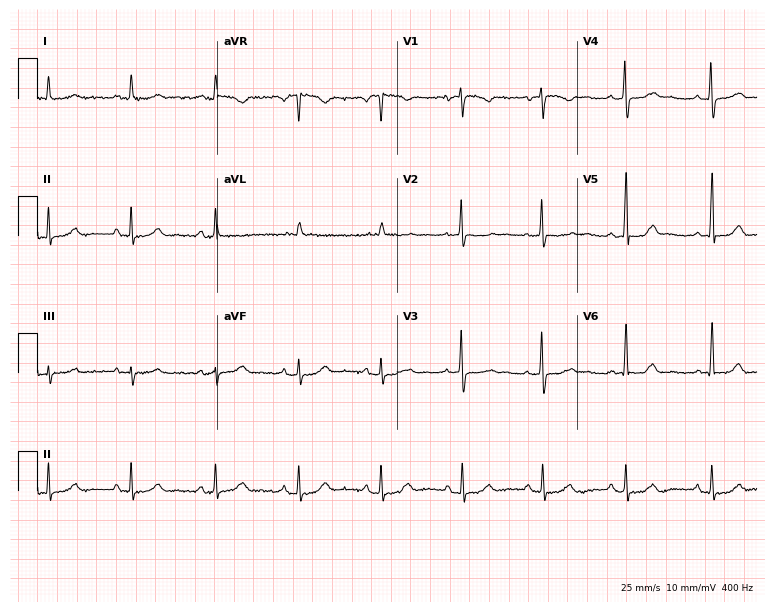
Standard 12-lead ECG recorded from a female, 43 years old. Read as a normal ECG.